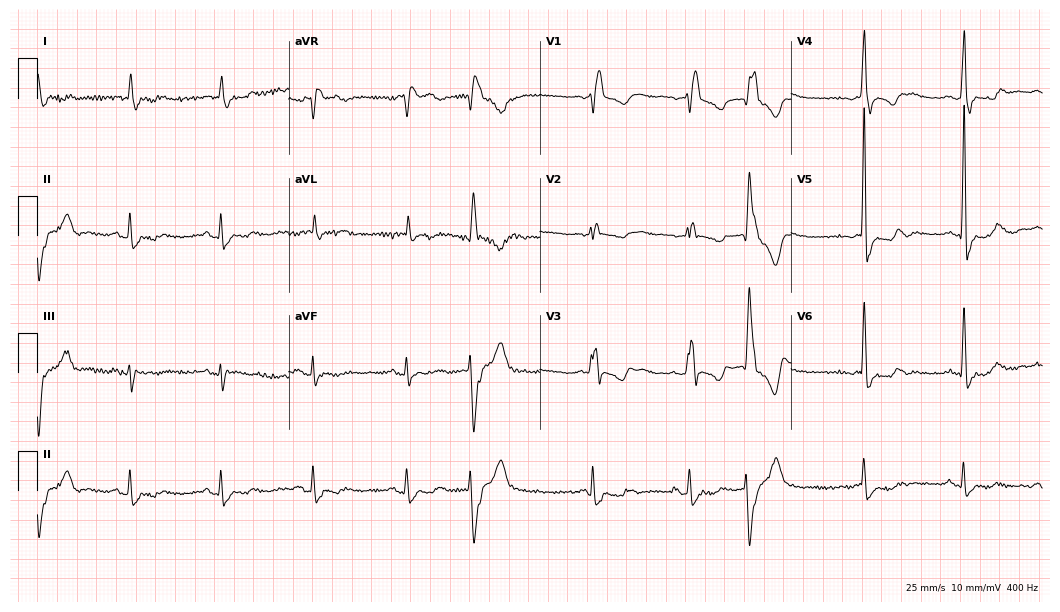
ECG (10.2-second recording at 400 Hz) — a male patient, 74 years old. Findings include right bundle branch block.